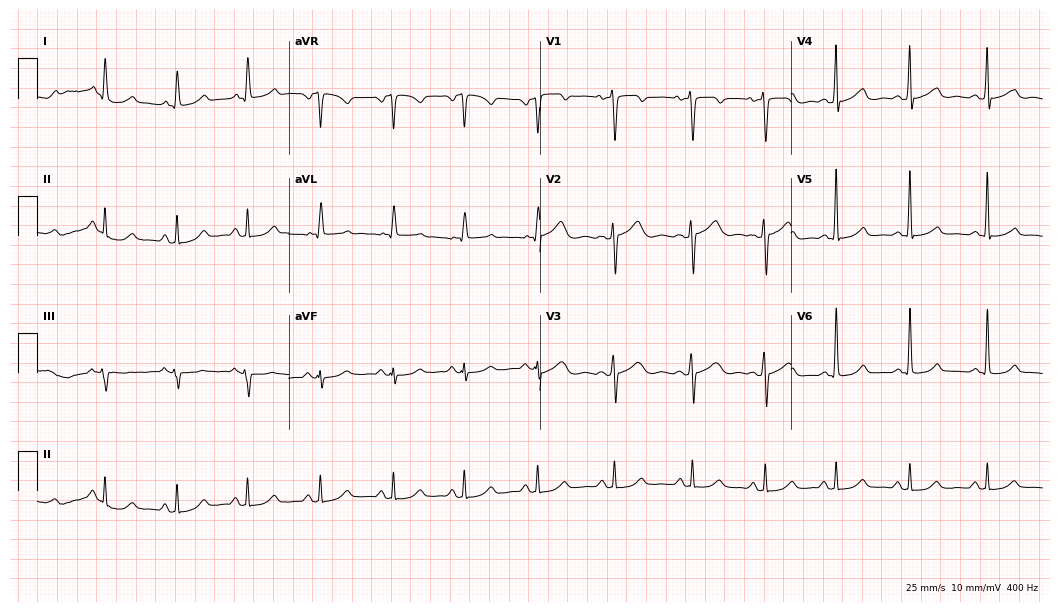
12-lead ECG from a female patient, 42 years old. No first-degree AV block, right bundle branch block, left bundle branch block, sinus bradycardia, atrial fibrillation or sinus tachycardia recorded for this tracing.